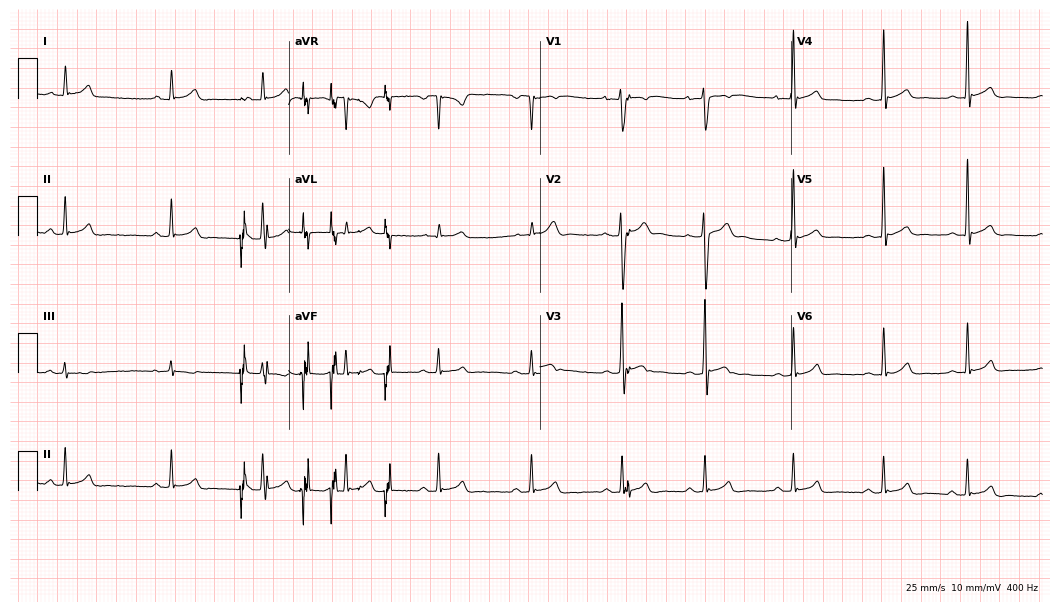
ECG (10.2-second recording at 400 Hz) — an 18-year-old male patient. Labelled as a normal ECG.